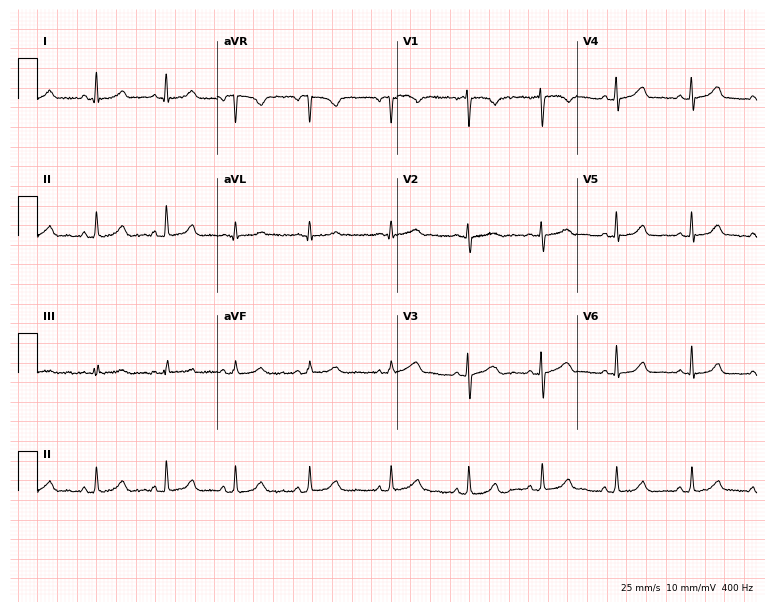
12-lead ECG (7.3-second recording at 400 Hz) from a 41-year-old female patient. Labelled as a normal ECG.